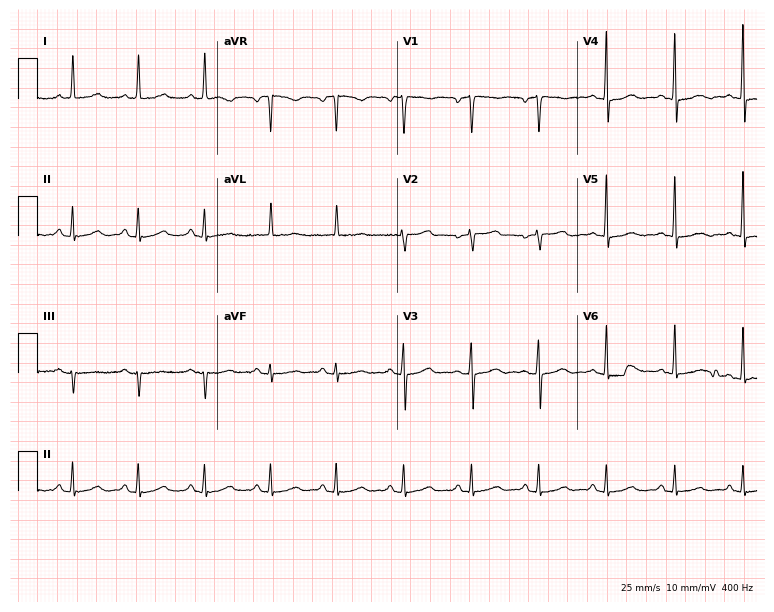
12-lead ECG (7.3-second recording at 400 Hz) from a woman, 63 years old. Screened for six findings — first-degree AV block, right bundle branch block (RBBB), left bundle branch block (LBBB), sinus bradycardia, atrial fibrillation (AF), sinus tachycardia — none is recorded. Findings outside these six are not listed.